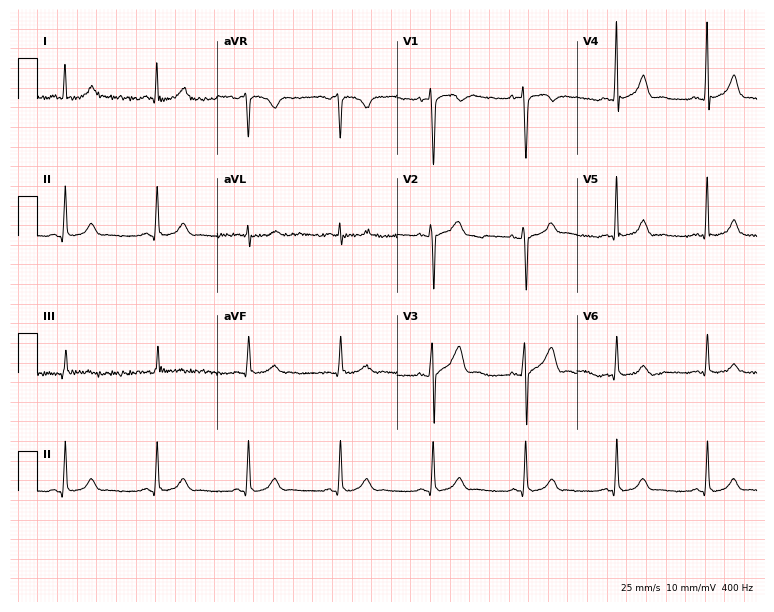
Standard 12-lead ECG recorded from a 49-year-old man (7.3-second recording at 400 Hz). Read as a normal ECG.